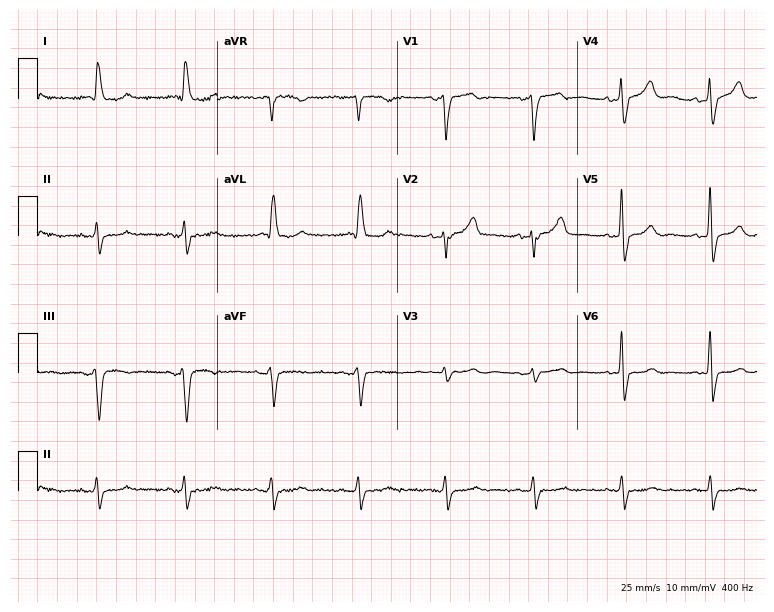
12-lead ECG (7.3-second recording at 400 Hz) from a man, 85 years old. Screened for six findings — first-degree AV block, right bundle branch block (RBBB), left bundle branch block (LBBB), sinus bradycardia, atrial fibrillation (AF), sinus tachycardia — none is recorded. Only these six findings were labelled.